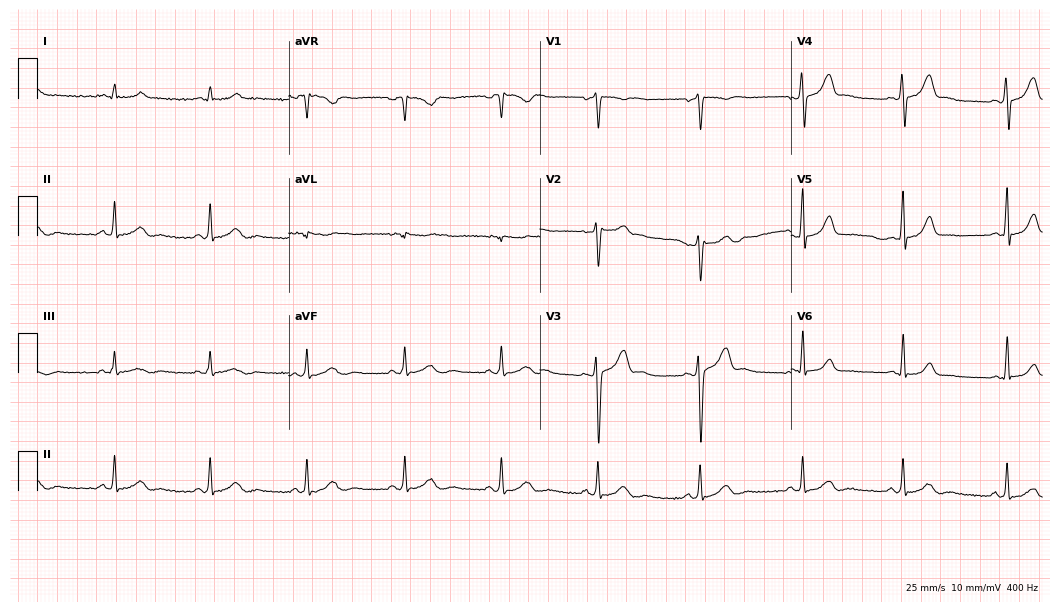
ECG — a 42-year-old man. Labelled as a normal ECG.